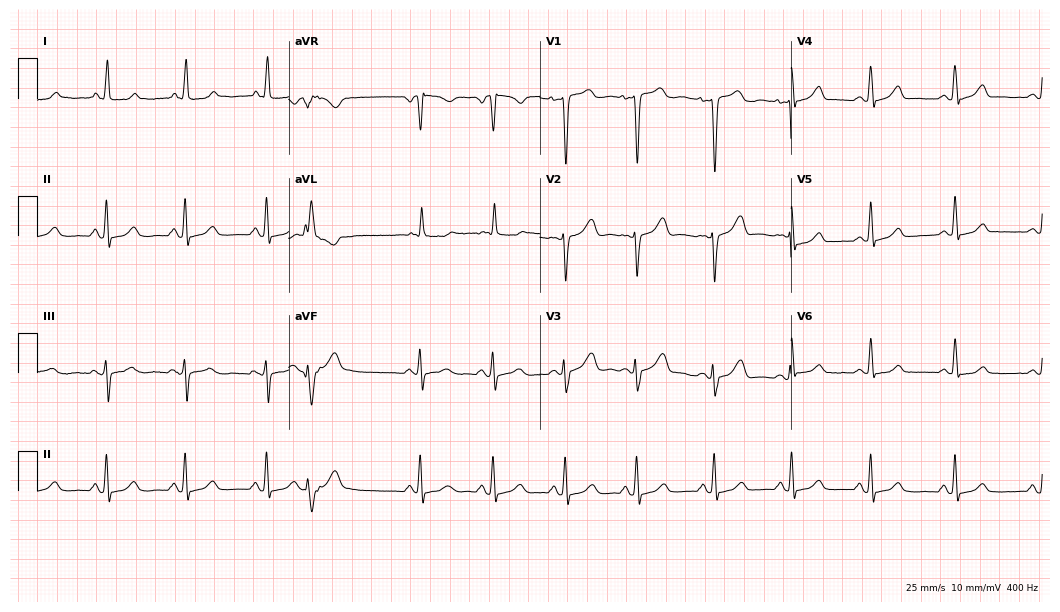
Electrocardiogram, a female, 44 years old. Of the six screened findings (first-degree AV block, right bundle branch block, left bundle branch block, sinus bradycardia, atrial fibrillation, sinus tachycardia), none is recorded. Findings outside these six are not listed.